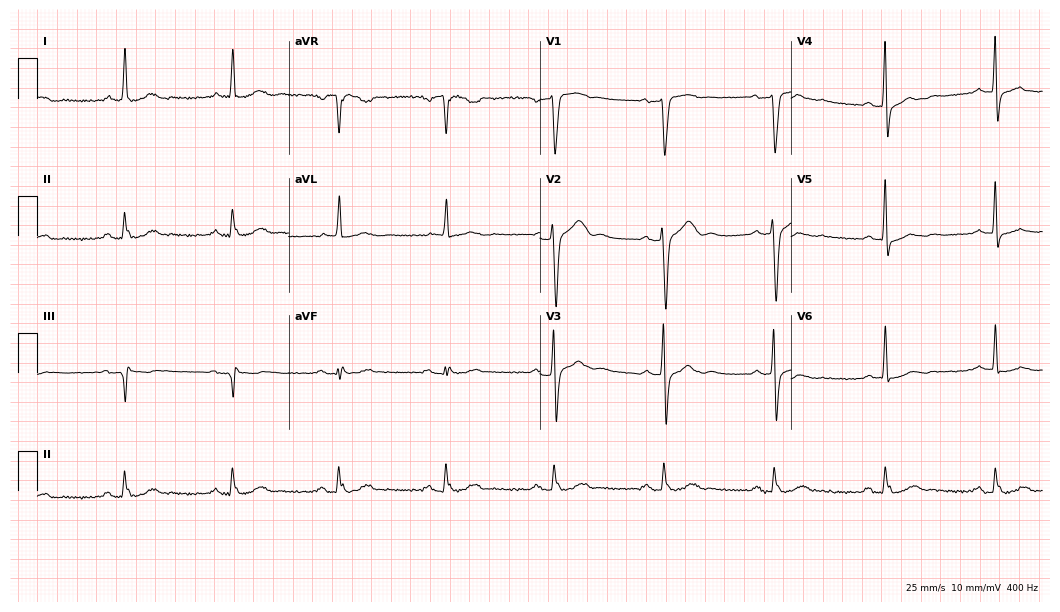
Standard 12-lead ECG recorded from a male, 70 years old. None of these six findings is recorded: first-degree AV block, right bundle branch block, left bundle branch block, sinus bradycardia, atrial fibrillation, sinus tachycardia.